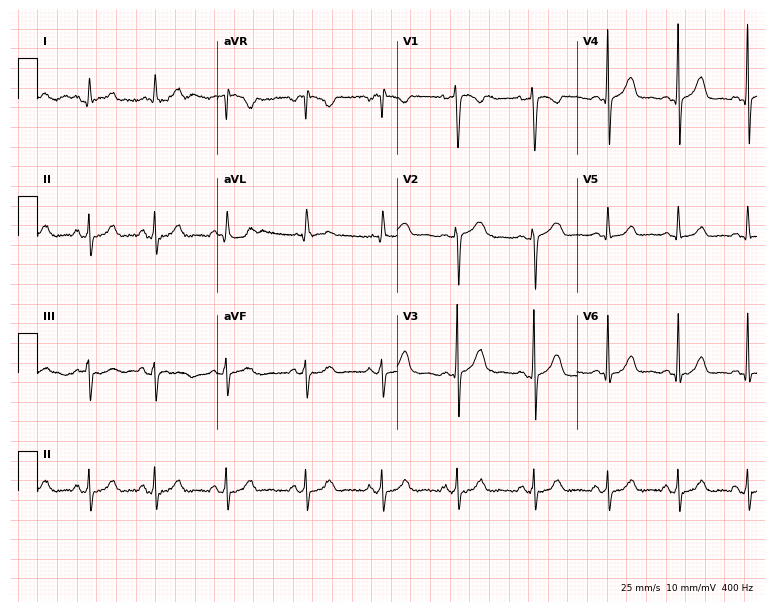
Resting 12-lead electrocardiogram. Patient: a 31-year-old female. None of these six findings is recorded: first-degree AV block, right bundle branch block, left bundle branch block, sinus bradycardia, atrial fibrillation, sinus tachycardia.